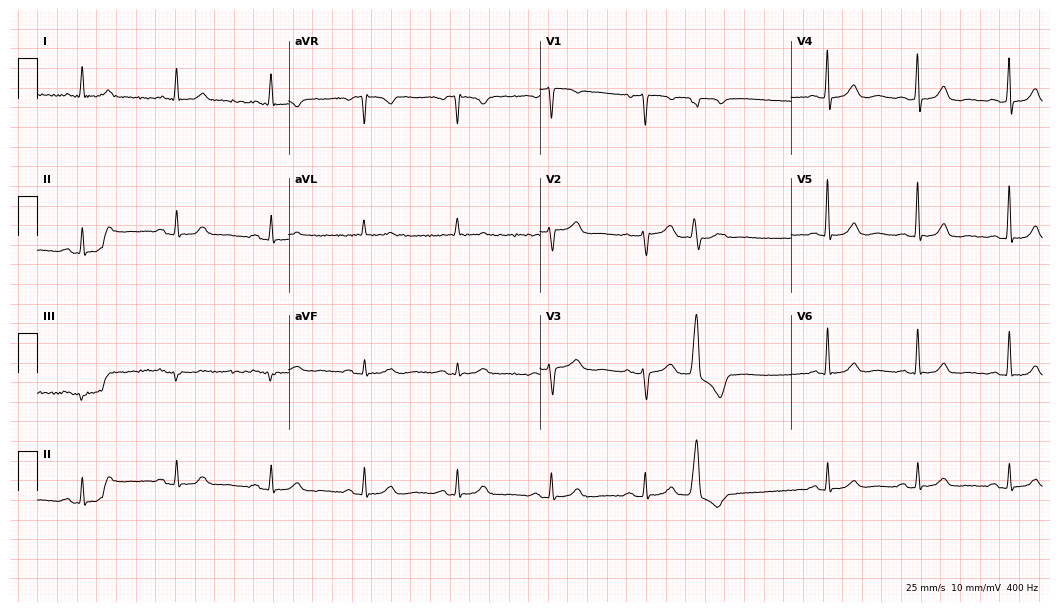
12-lead ECG from a 58-year-old female patient (10.2-second recording at 400 Hz). Recorded interpretation: within normal limits.